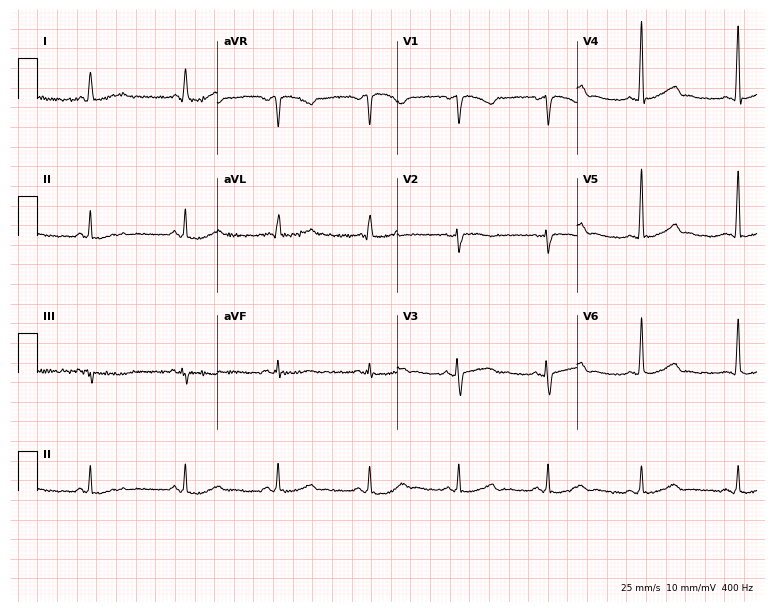
Standard 12-lead ECG recorded from a 37-year-old female patient (7.3-second recording at 400 Hz). Read as a normal ECG.